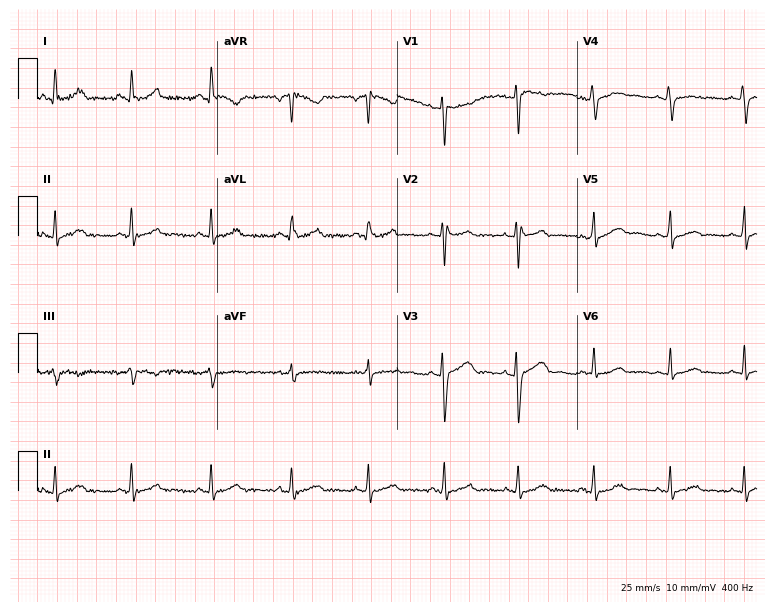
ECG (7.3-second recording at 400 Hz) — a 25-year-old woman. Screened for six findings — first-degree AV block, right bundle branch block, left bundle branch block, sinus bradycardia, atrial fibrillation, sinus tachycardia — none is recorded.